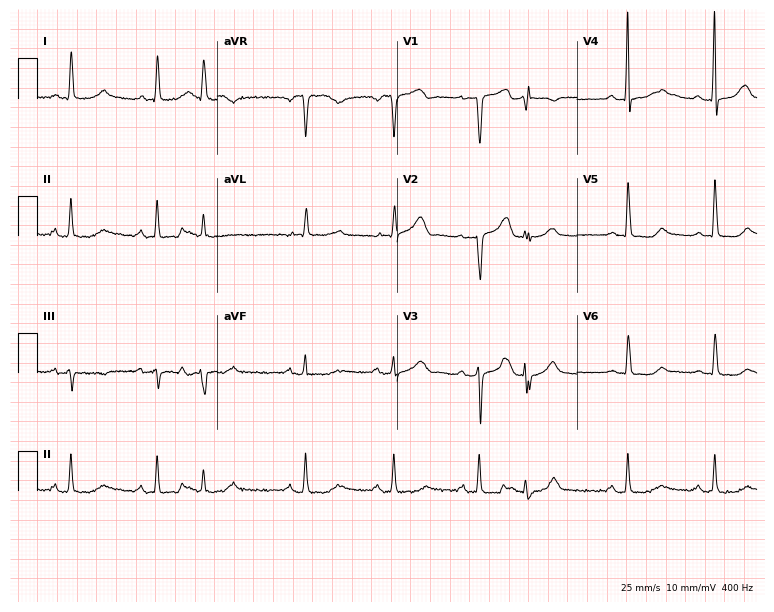
Resting 12-lead electrocardiogram (7.3-second recording at 400 Hz). Patient: a female, 60 years old. None of these six findings is recorded: first-degree AV block, right bundle branch block, left bundle branch block, sinus bradycardia, atrial fibrillation, sinus tachycardia.